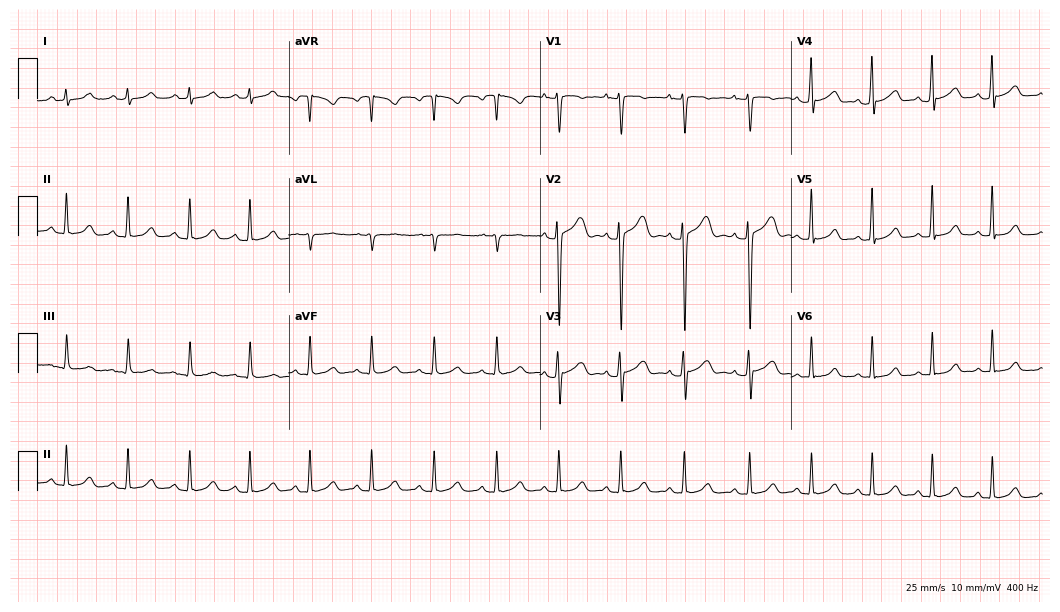
Resting 12-lead electrocardiogram (10.2-second recording at 400 Hz). Patient: a female, 22 years old. None of these six findings is recorded: first-degree AV block, right bundle branch block (RBBB), left bundle branch block (LBBB), sinus bradycardia, atrial fibrillation (AF), sinus tachycardia.